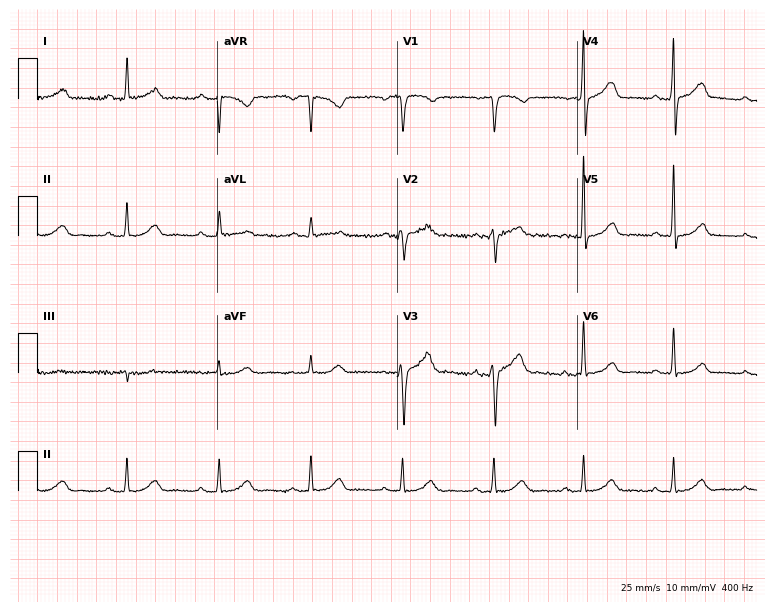
12-lead ECG from a 66-year-old male (7.3-second recording at 400 Hz). No first-degree AV block, right bundle branch block, left bundle branch block, sinus bradycardia, atrial fibrillation or sinus tachycardia recorded for this tracing. Other findings, if any, are not listed.